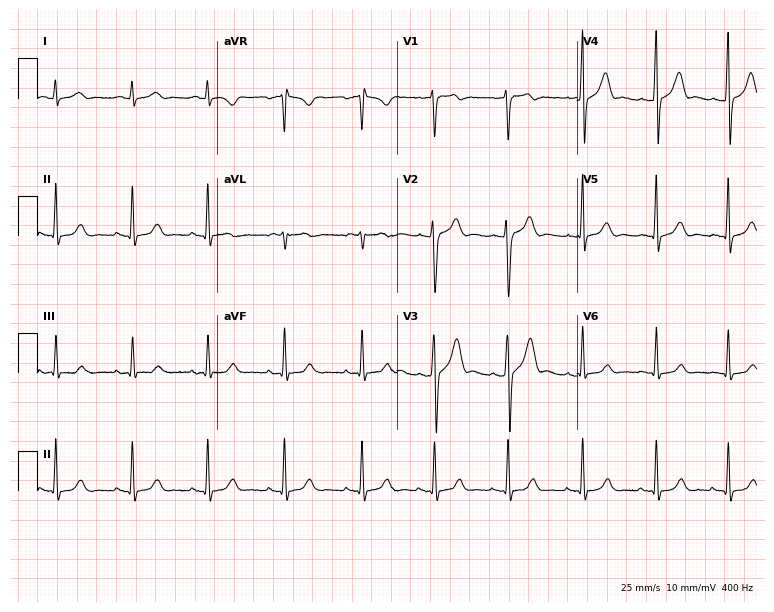
12-lead ECG from a male, 19 years old. Labelled as a normal ECG.